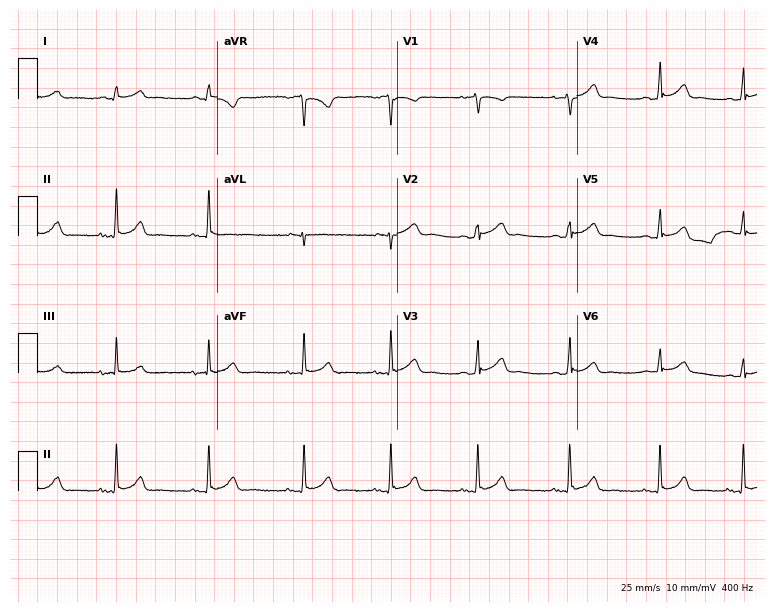
Standard 12-lead ECG recorded from a woman, 19 years old (7.3-second recording at 400 Hz). Read as a normal ECG.